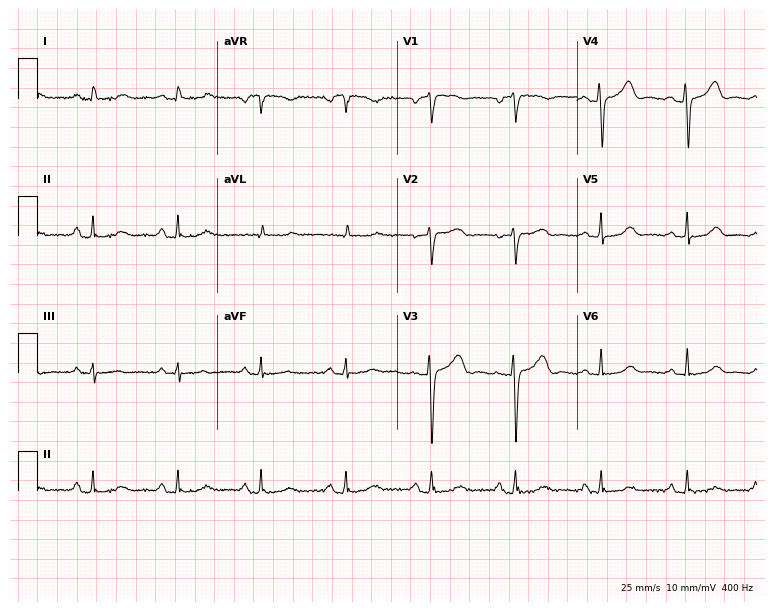
12-lead ECG (7.3-second recording at 400 Hz) from a female, 63 years old. Screened for six findings — first-degree AV block, right bundle branch block (RBBB), left bundle branch block (LBBB), sinus bradycardia, atrial fibrillation (AF), sinus tachycardia — none is recorded.